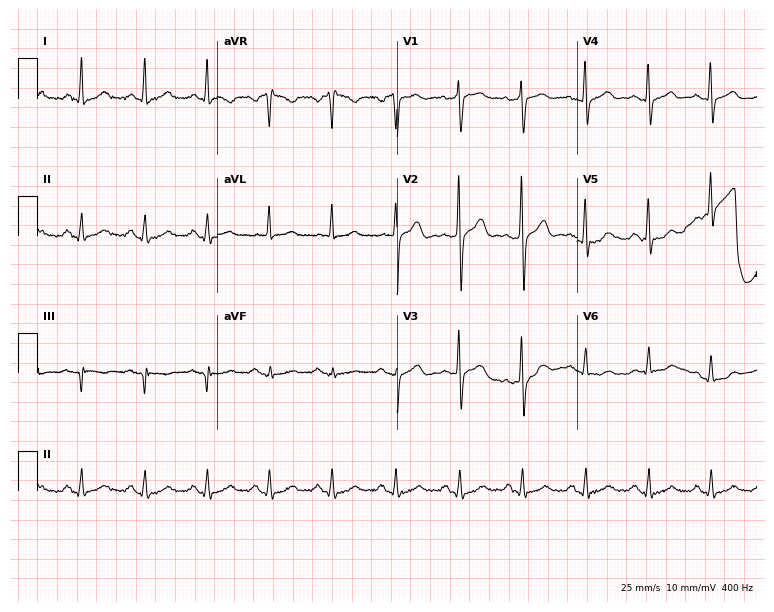
ECG (7.3-second recording at 400 Hz) — a 55-year-old male. Labelled as a normal ECG.